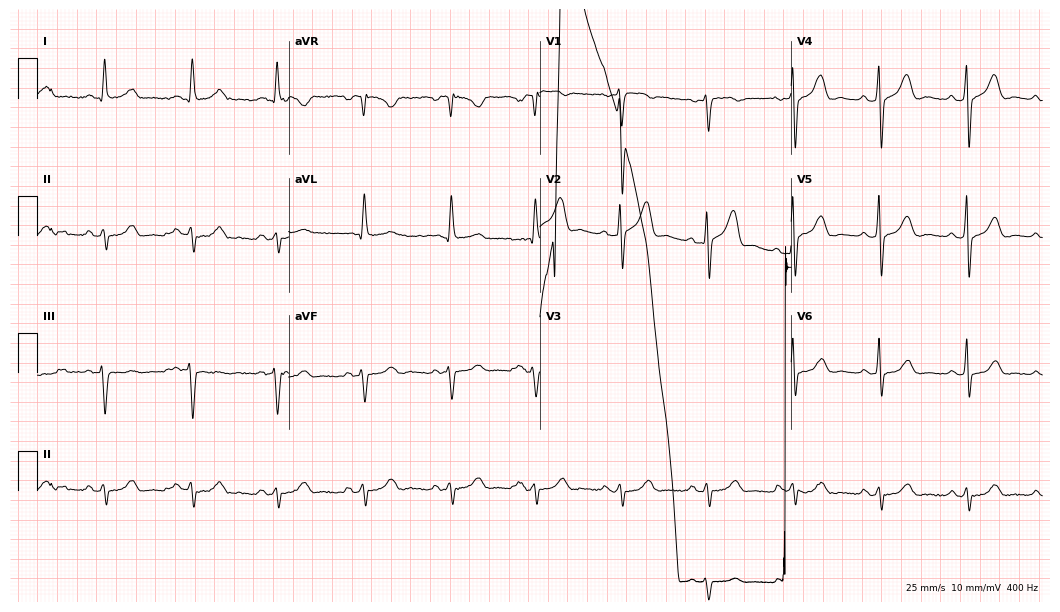
12-lead ECG (10.2-second recording at 400 Hz) from a man, 64 years old. Screened for six findings — first-degree AV block, right bundle branch block, left bundle branch block, sinus bradycardia, atrial fibrillation, sinus tachycardia — none is recorded.